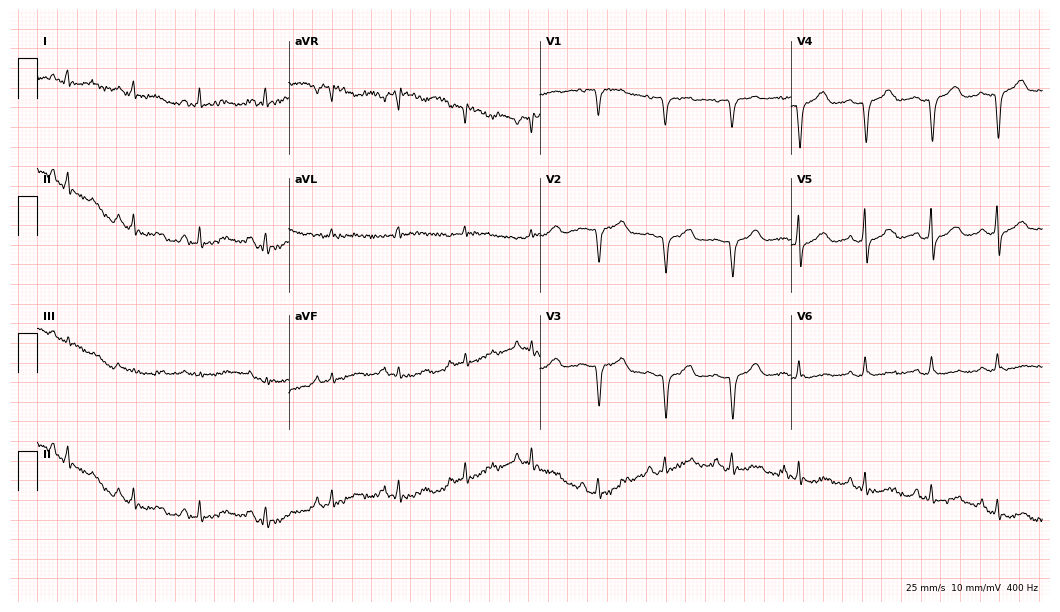
Standard 12-lead ECG recorded from a female patient, 73 years old. None of these six findings is recorded: first-degree AV block, right bundle branch block, left bundle branch block, sinus bradycardia, atrial fibrillation, sinus tachycardia. Only these six findings were labelled.